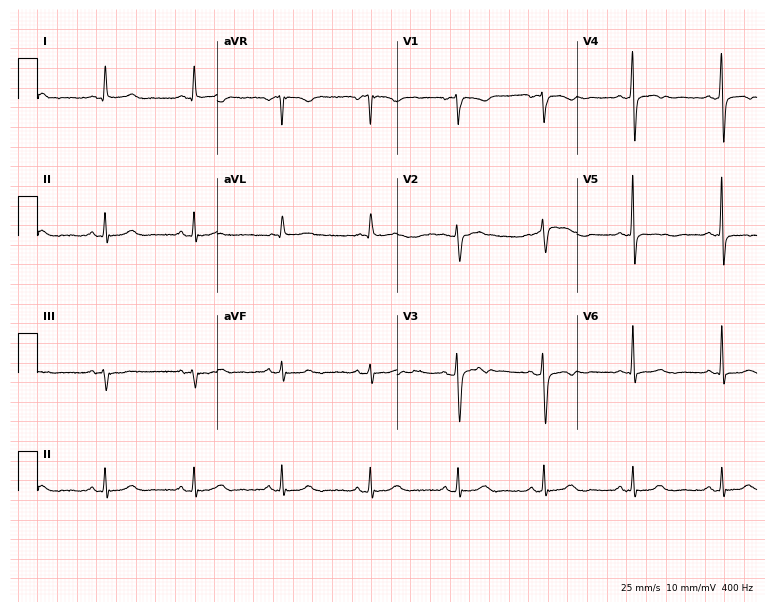
Resting 12-lead electrocardiogram. Patient: a female, 66 years old. None of these six findings is recorded: first-degree AV block, right bundle branch block (RBBB), left bundle branch block (LBBB), sinus bradycardia, atrial fibrillation (AF), sinus tachycardia.